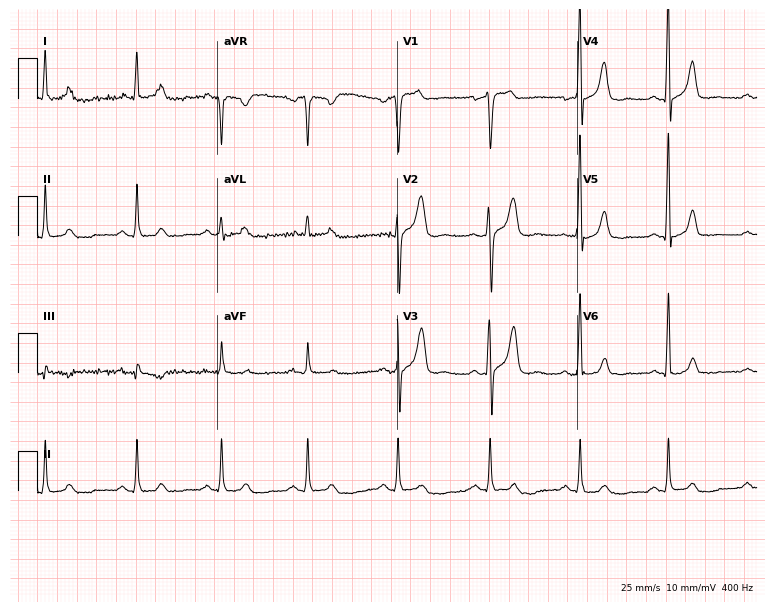
Standard 12-lead ECG recorded from a male patient, 47 years old (7.3-second recording at 400 Hz). Read as a normal ECG.